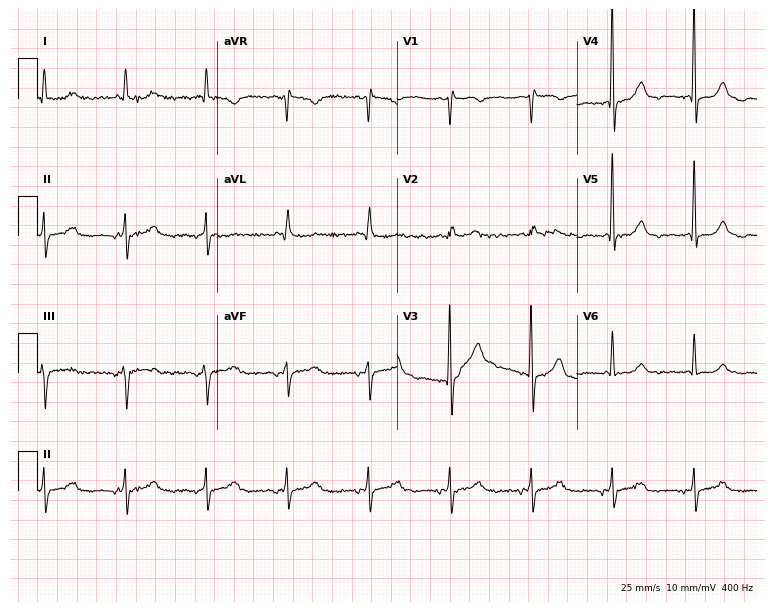
Standard 12-lead ECG recorded from a 42-year-old woman (7.3-second recording at 400 Hz). None of these six findings is recorded: first-degree AV block, right bundle branch block, left bundle branch block, sinus bradycardia, atrial fibrillation, sinus tachycardia. Other findings, if any, are not listed.